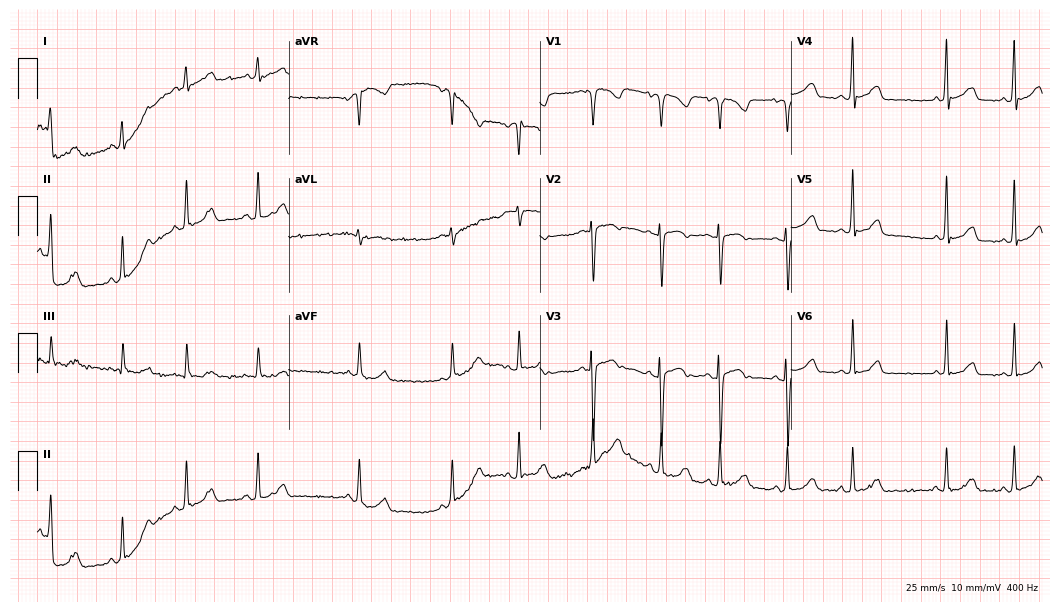
12-lead ECG from a man, 60 years old. Labelled as a normal ECG.